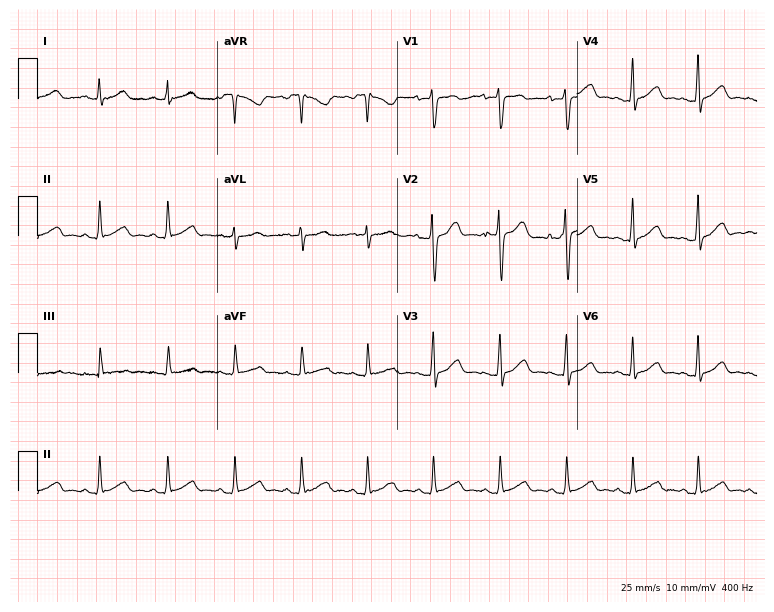
12-lead ECG (7.3-second recording at 400 Hz) from a 42-year-old male. Labelled as a normal ECG.